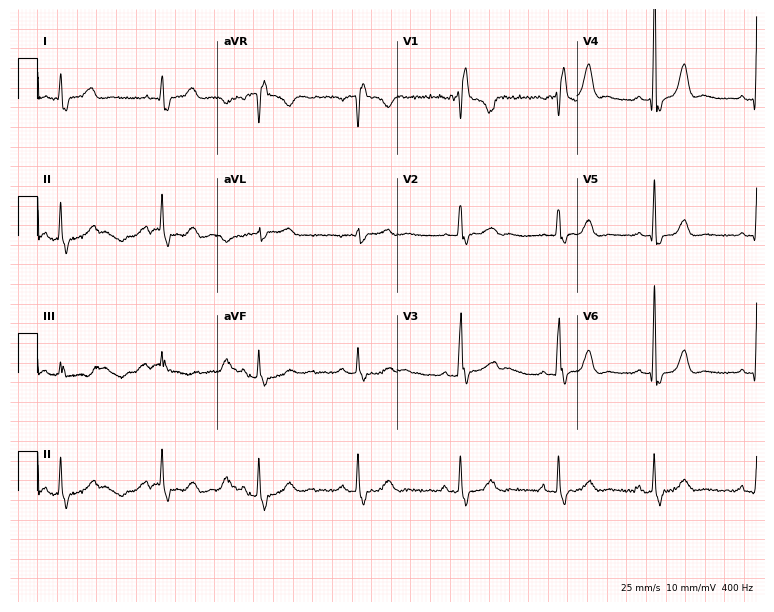
Standard 12-lead ECG recorded from a 33-year-old female patient. The tracing shows right bundle branch block.